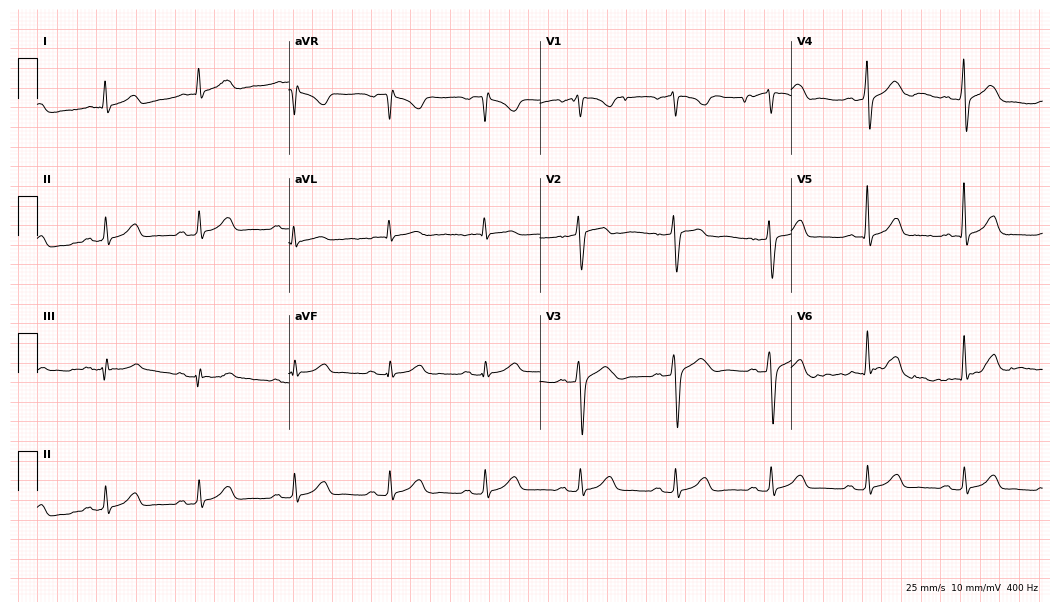
12-lead ECG from a male patient, 42 years old. Recorded interpretation: within normal limits.